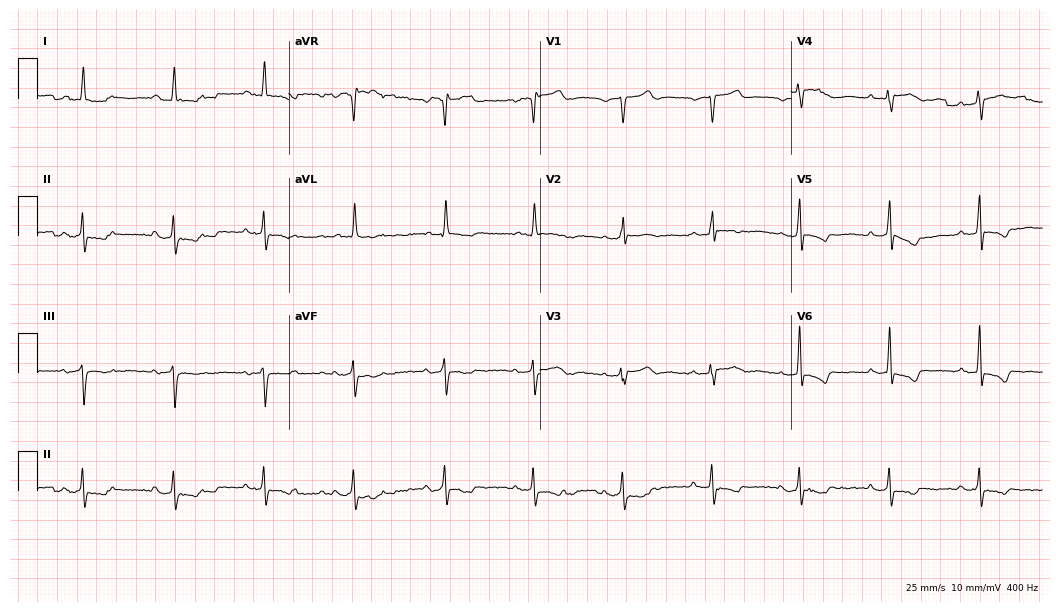
12-lead ECG from a male, 50 years old (10.2-second recording at 400 Hz). No first-degree AV block, right bundle branch block, left bundle branch block, sinus bradycardia, atrial fibrillation or sinus tachycardia recorded for this tracing.